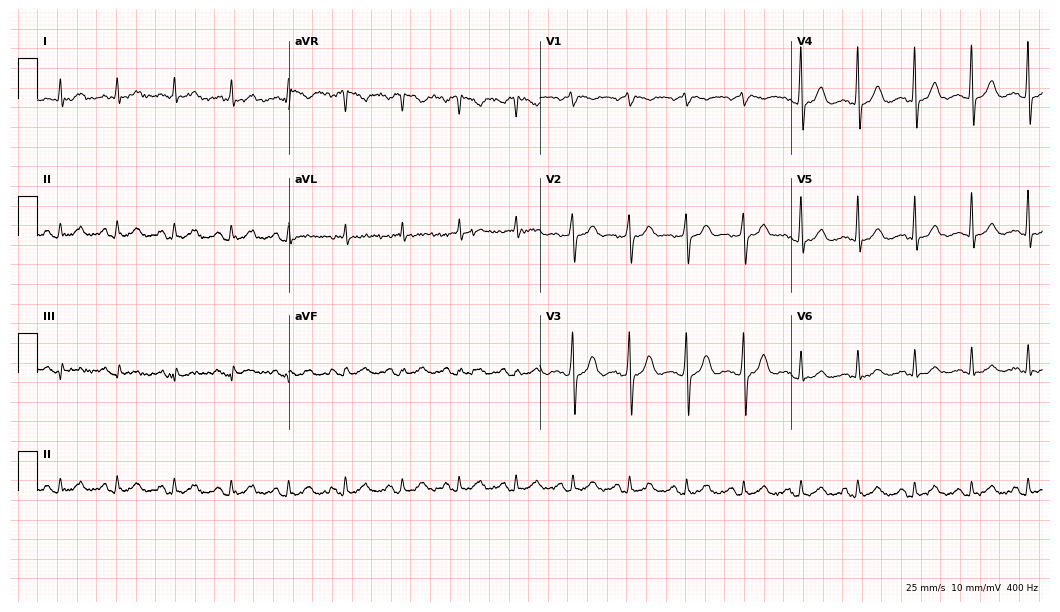
12-lead ECG from a male patient, 84 years old. No first-degree AV block, right bundle branch block, left bundle branch block, sinus bradycardia, atrial fibrillation or sinus tachycardia recorded for this tracing. Only these six findings were labelled.